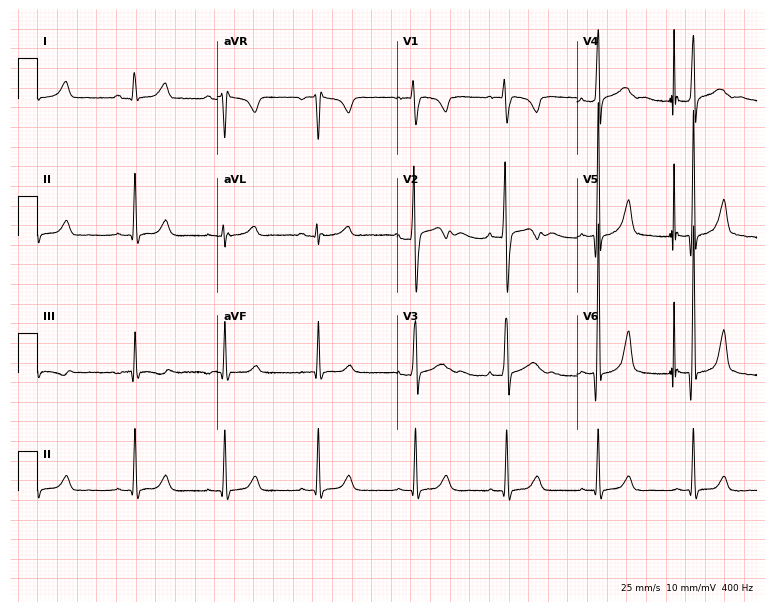
12-lead ECG from a 24-year-old man. No first-degree AV block, right bundle branch block, left bundle branch block, sinus bradycardia, atrial fibrillation or sinus tachycardia recorded for this tracing.